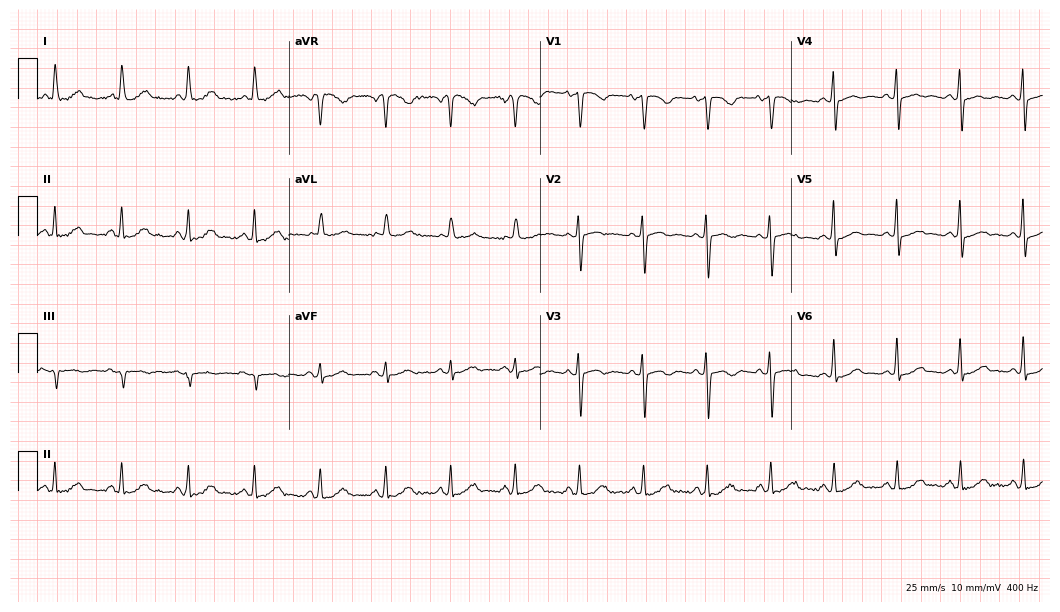
ECG — a 71-year-old female. Screened for six findings — first-degree AV block, right bundle branch block, left bundle branch block, sinus bradycardia, atrial fibrillation, sinus tachycardia — none is recorded. Other findings, if any, are not listed.